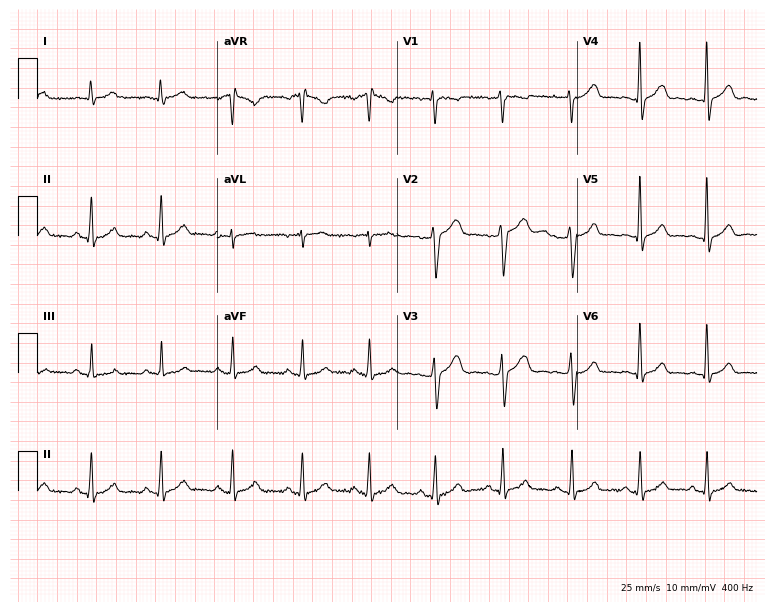
Electrocardiogram (7.3-second recording at 400 Hz), a 31-year-old woman. Overall reading on record: normal ECG.